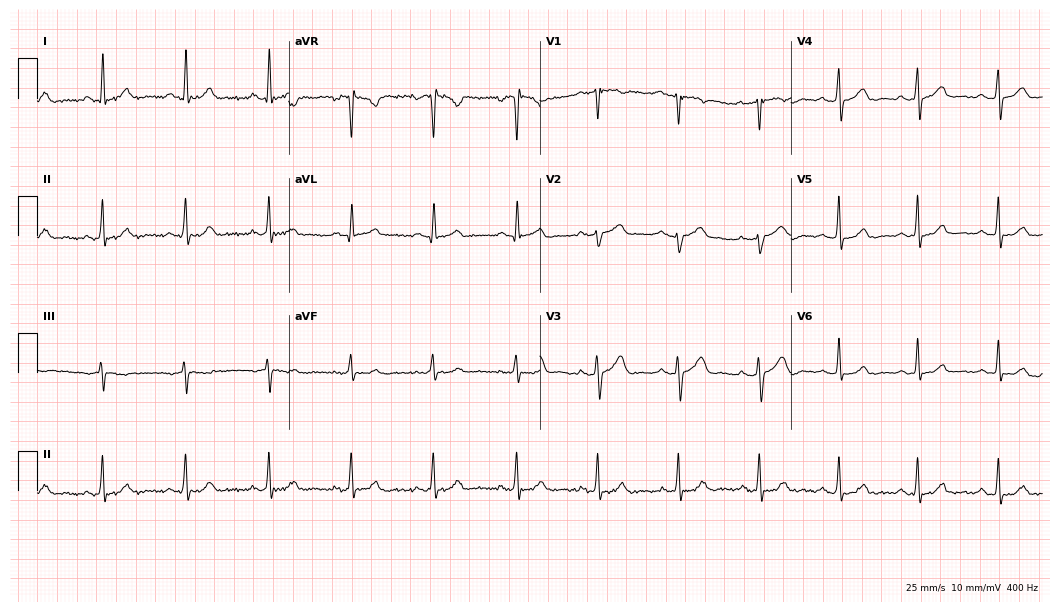
12-lead ECG (10.2-second recording at 400 Hz) from a 31-year-old woman. Labelled as a normal ECG.